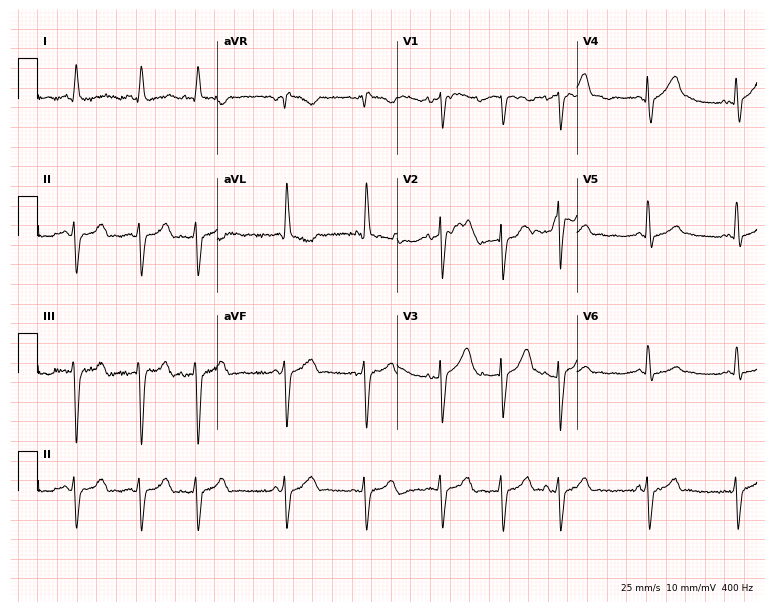
ECG (7.3-second recording at 400 Hz) — a male, 81 years old. Screened for six findings — first-degree AV block, right bundle branch block, left bundle branch block, sinus bradycardia, atrial fibrillation, sinus tachycardia — none is recorded.